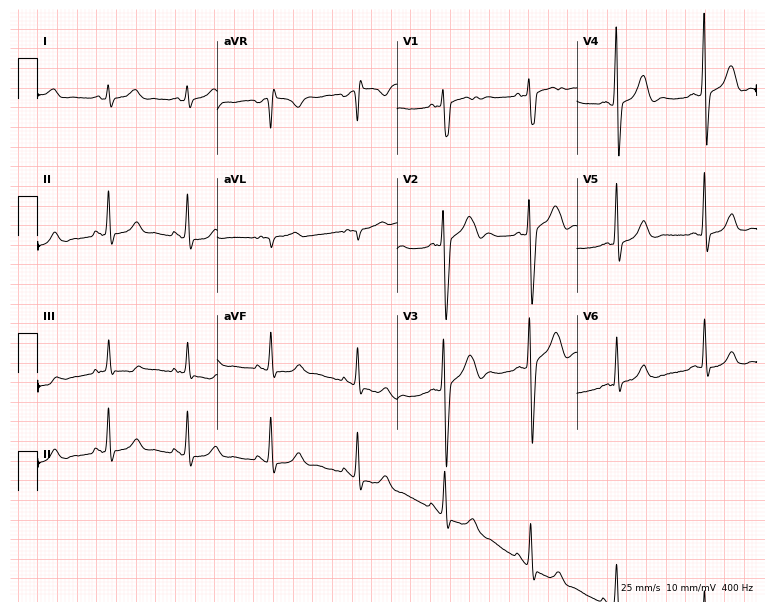
Electrocardiogram (7.3-second recording at 400 Hz), a male, 23 years old. Of the six screened findings (first-degree AV block, right bundle branch block, left bundle branch block, sinus bradycardia, atrial fibrillation, sinus tachycardia), none is recorded.